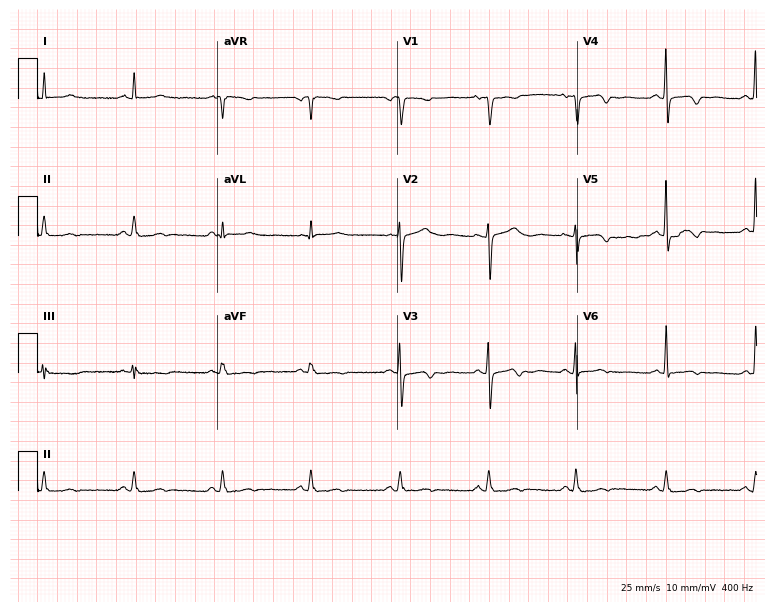
Electrocardiogram, a woman, 73 years old. Of the six screened findings (first-degree AV block, right bundle branch block, left bundle branch block, sinus bradycardia, atrial fibrillation, sinus tachycardia), none is recorded.